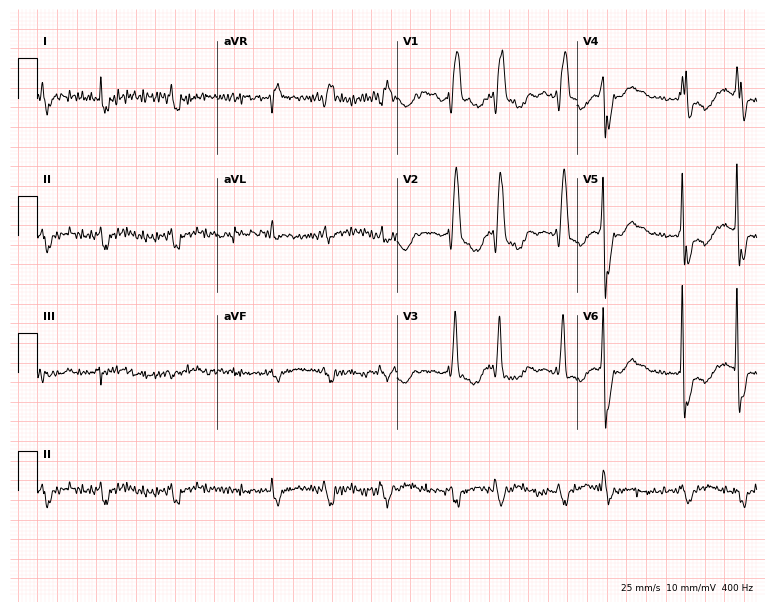
Electrocardiogram, a 61-year-old woman. Interpretation includes right bundle branch block (RBBB), atrial fibrillation (AF).